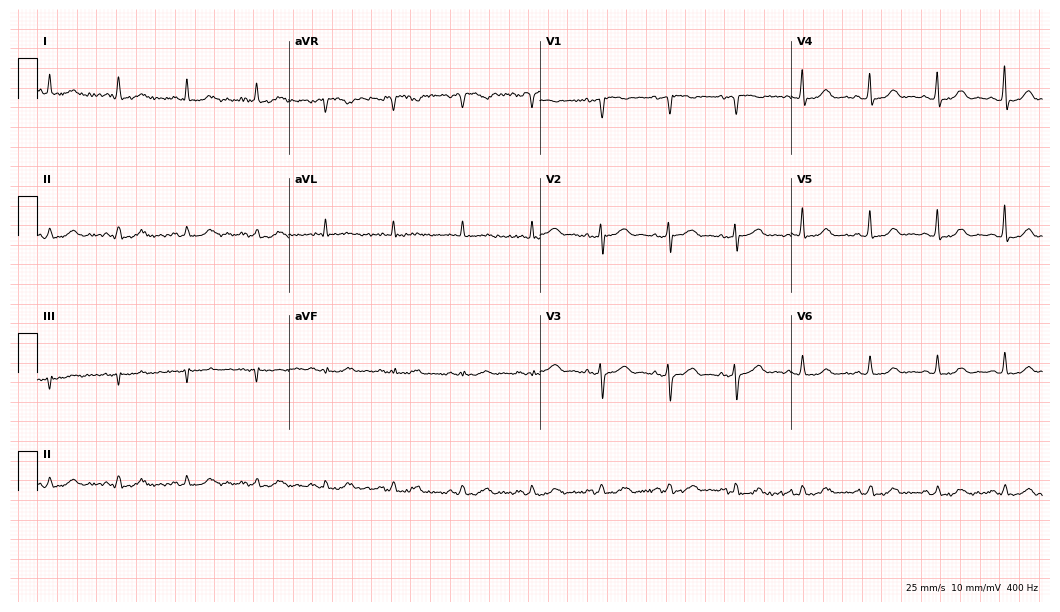
12-lead ECG (10.2-second recording at 400 Hz) from a female, 51 years old. Screened for six findings — first-degree AV block, right bundle branch block, left bundle branch block, sinus bradycardia, atrial fibrillation, sinus tachycardia — none is recorded. Findings outside these six are not listed.